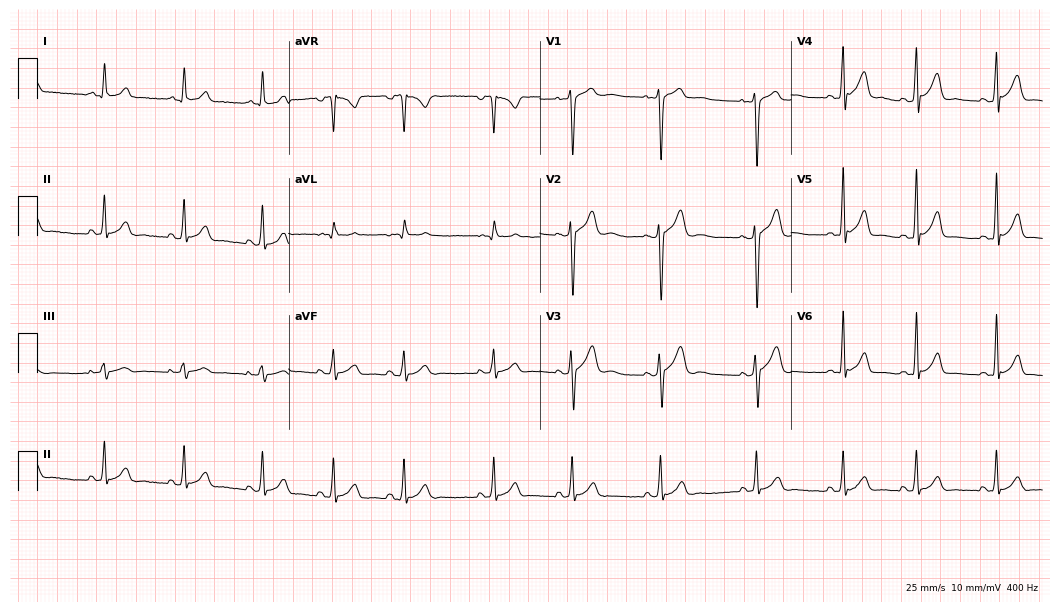
ECG (10.2-second recording at 400 Hz) — an 18-year-old man. Labelled as a normal ECG.